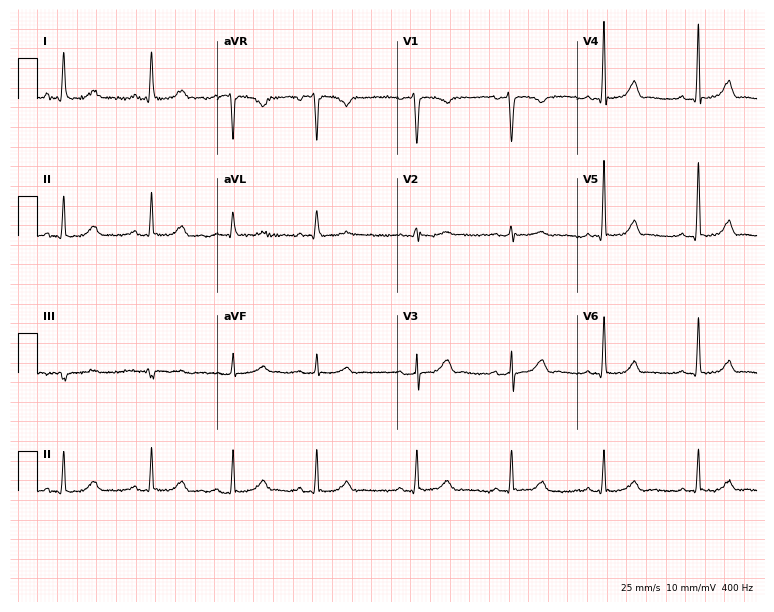
Resting 12-lead electrocardiogram. Patient: a 61-year-old female. None of these six findings is recorded: first-degree AV block, right bundle branch block, left bundle branch block, sinus bradycardia, atrial fibrillation, sinus tachycardia.